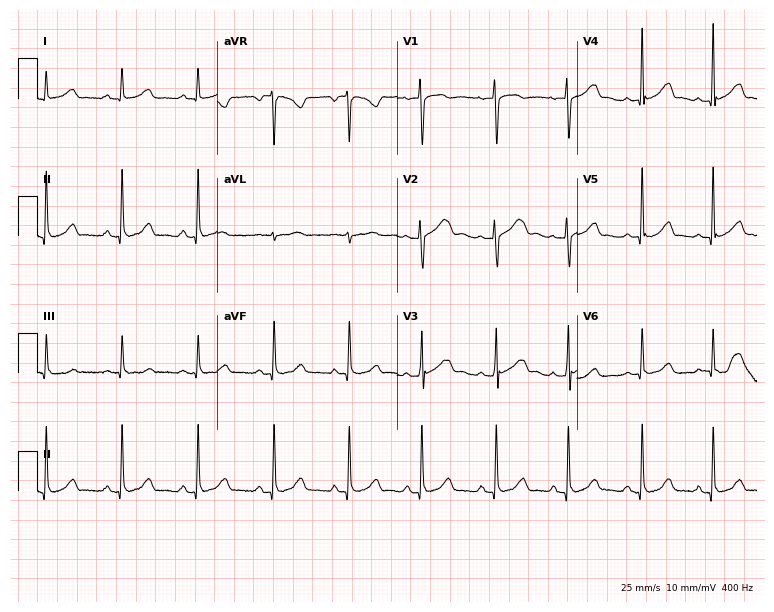
Resting 12-lead electrocardiogram. Patient: a female, 31 years old. Read as a normal ECG.